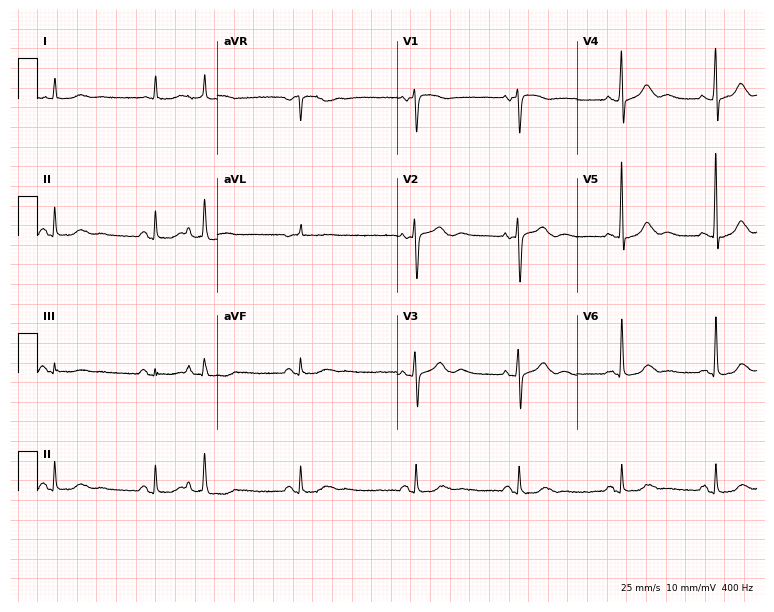
12-lead ECG from a female, 76 years old. Recorded interpretation: within normal limits.